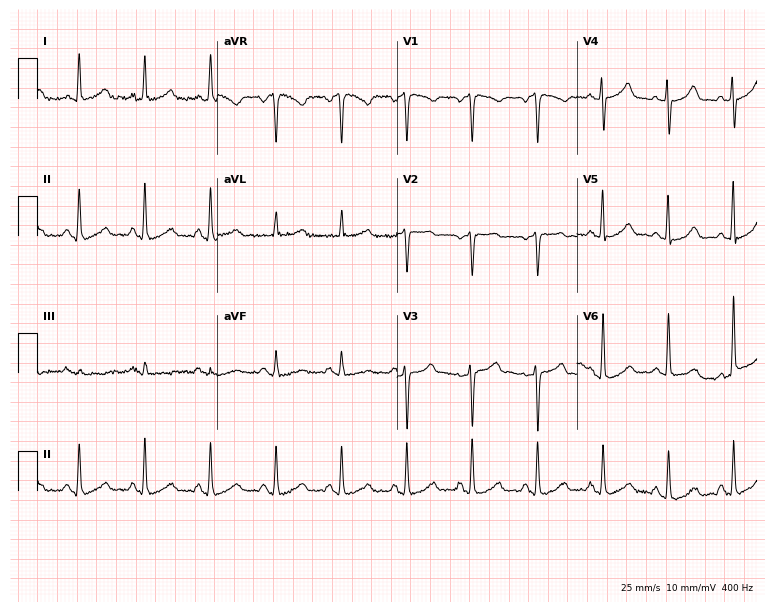
Electrocardiogram (7.3-second recording at 400 Hz), a 63-year-old female. Overall reading on record: normal ECG.